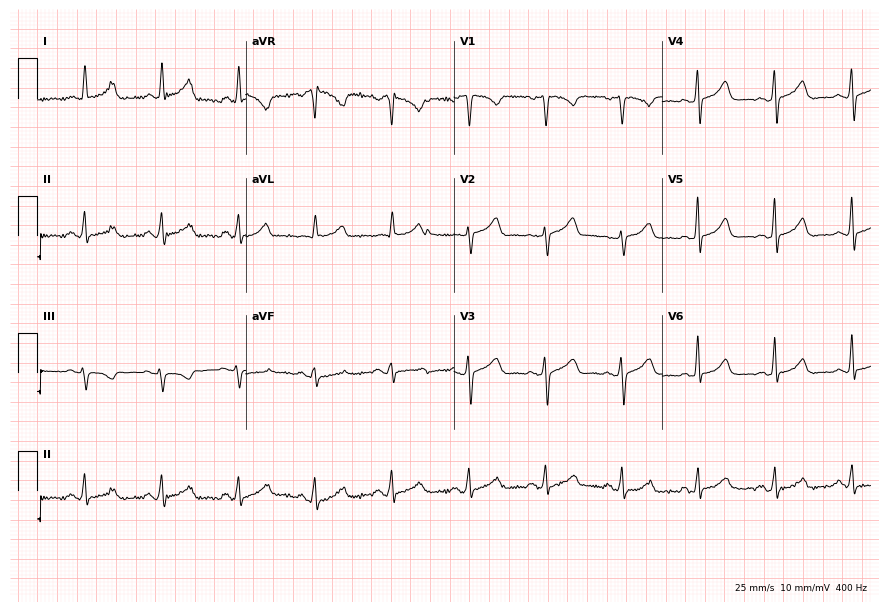
ECG (8.5-second recording at 400 Hz) — a 59-year-old woman. Labelled as a normal ECG.